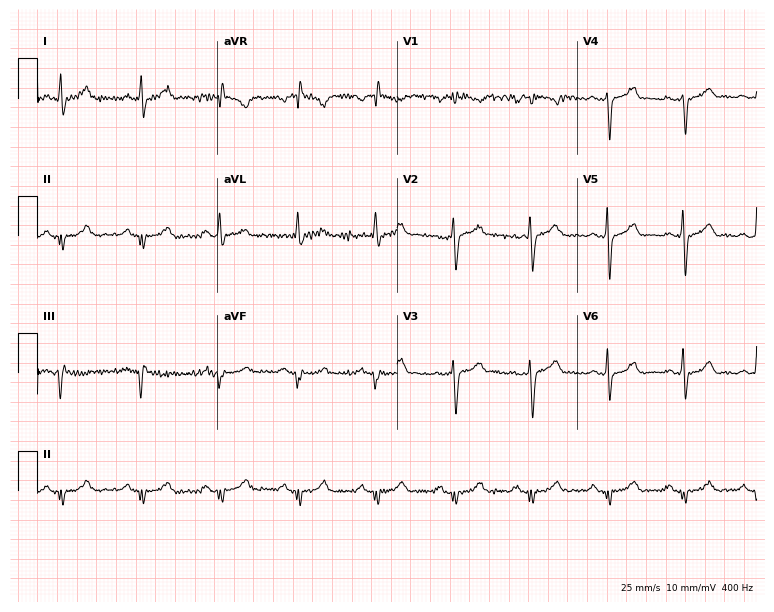
Electrocardiogram, a male patient, 56 years old. Of the six screened findings (first-degree AV block, right bundle branch block, left bundle branch block, sinus bradycardia, atrial fibrillation, sinus tachycardia), none is recorded.